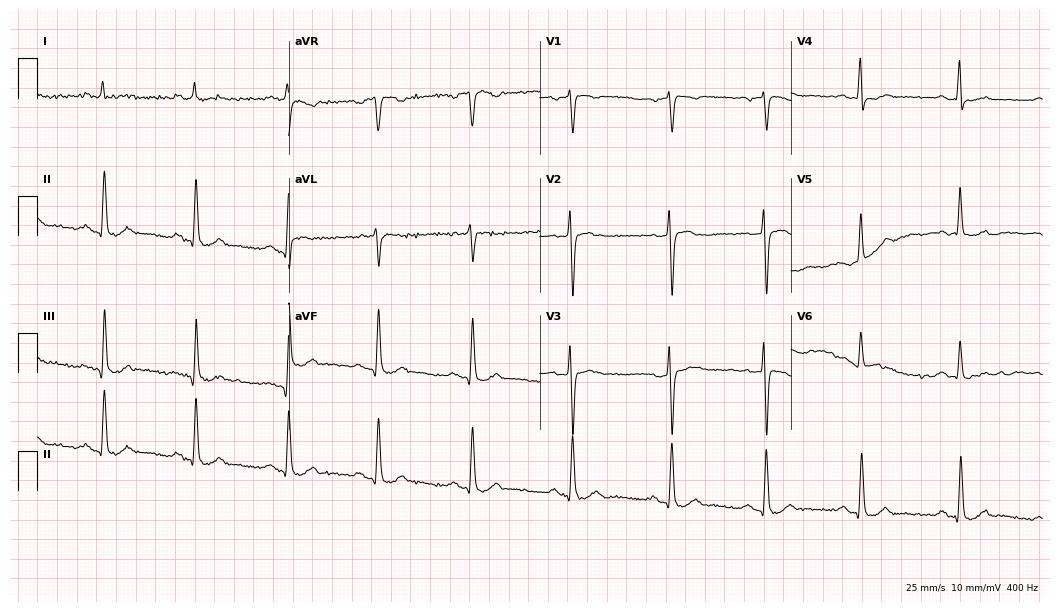
ECG — a 72-year-old man. Screened for six findings — first-degree AV block, right bundle branch block (RBBB), left bundle branch block (LBBB), sinus bradycardia, atrial fibrillation (AF), sinus tachycardia — none is recorded.